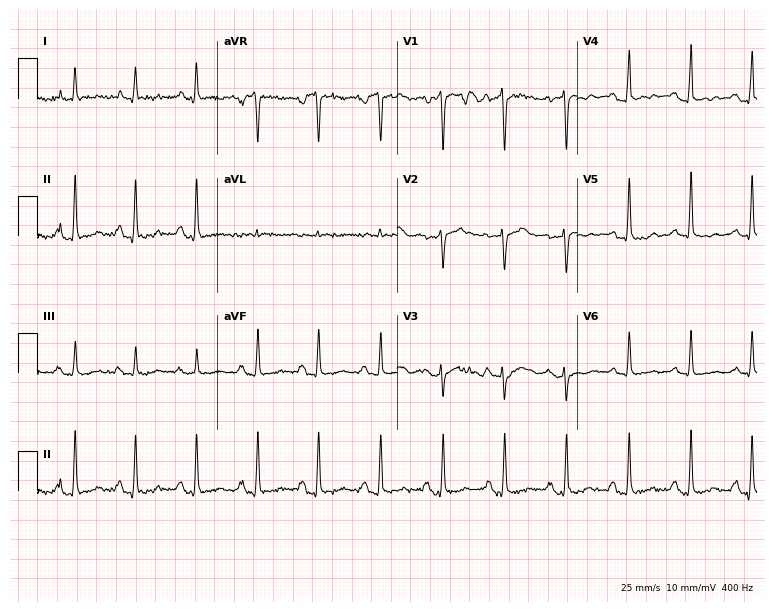
12-lead ECG from a woman, 35 years old. Labelled as a normal ECG.